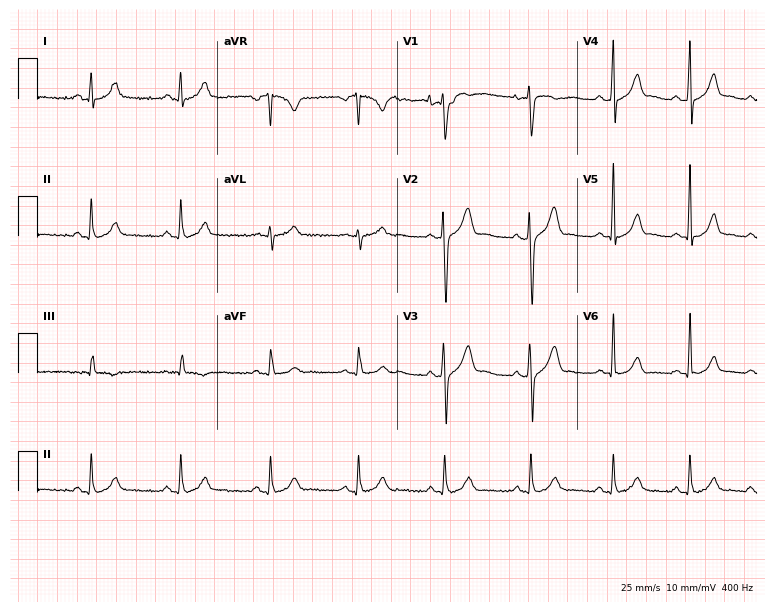
Resting 12-lead electrocardiogram. Patient: a male, 25 years old. Read as a normal ECG.